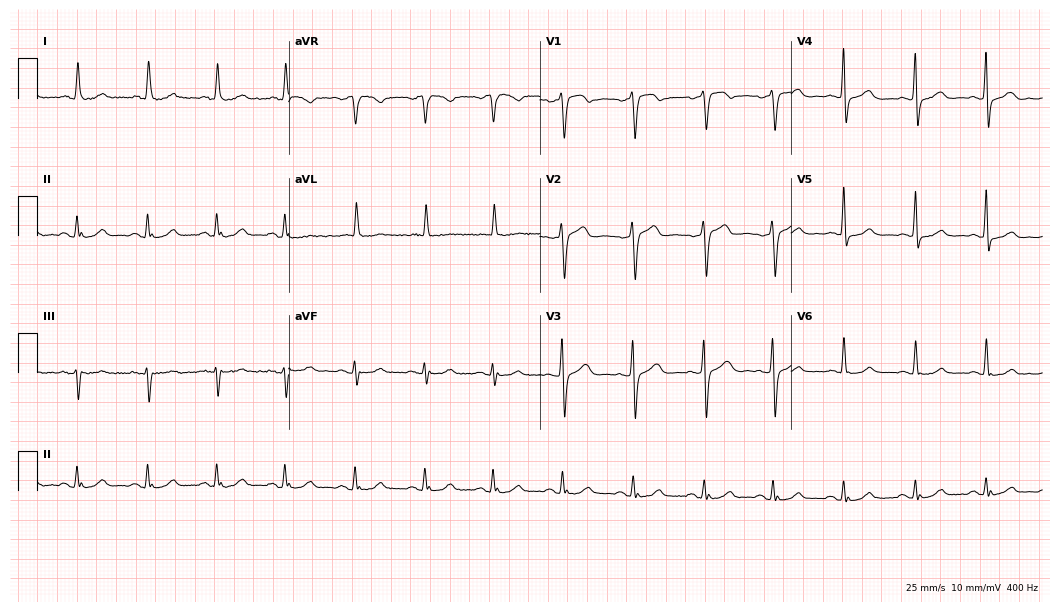
Electrocardiogram, an 80-year-old female. Overall reading on record: normal ECG.